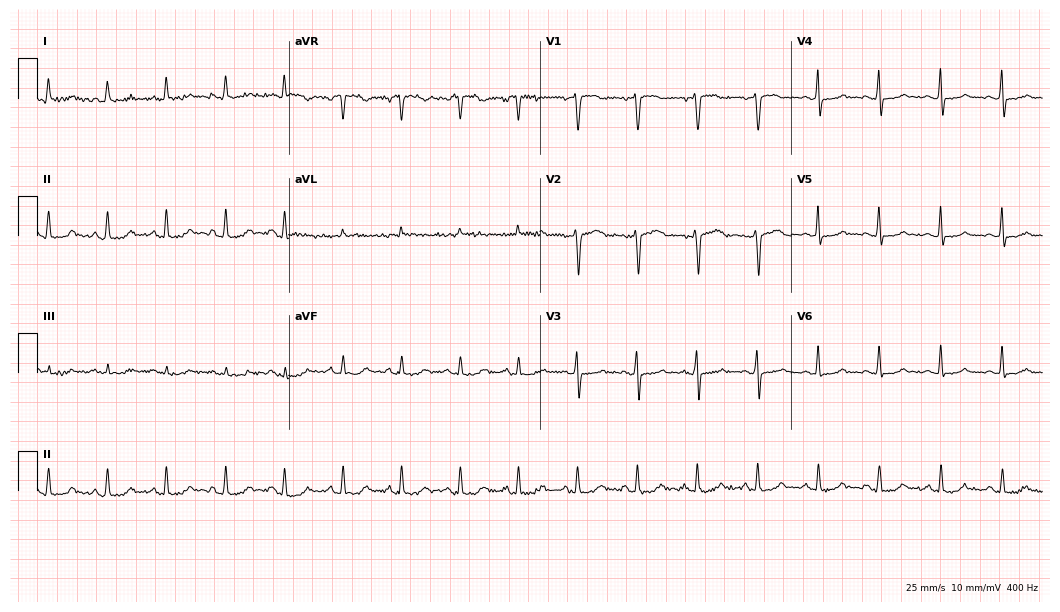
12-lead ECG from a 42-year-old woman (10.2-second recording at 400 Hz). Recorded interpretation: within normal limits.